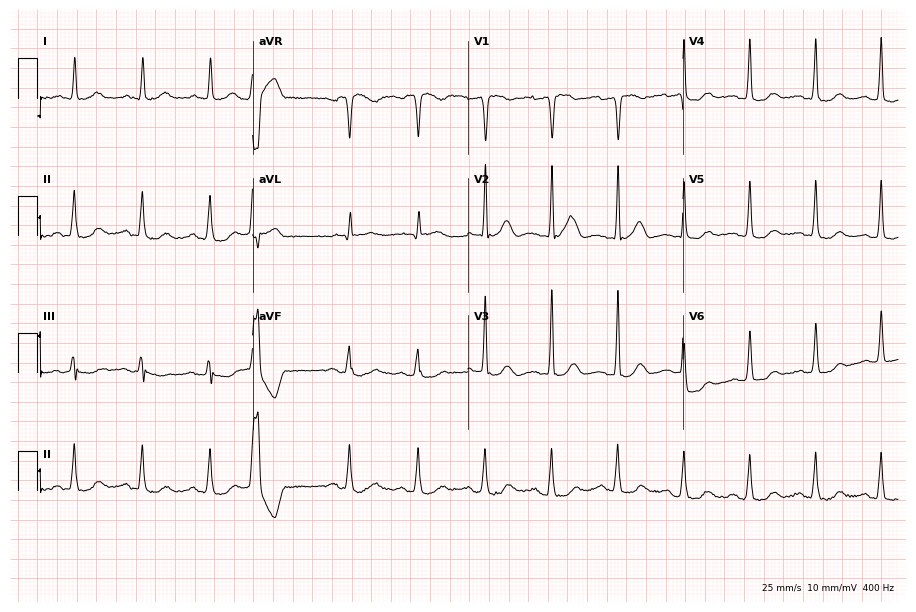
Resting 12-lead electrocardiogram (8.8-second recording at 400 Hz). Patient: a 71-year-old female. None of these six findings is recorded: first-degree AV block, right bundle branch block (RBBB), left bundle branch block (LBBB), sinus bradycardia, atrial fibrillation (AF), sinus tachycardia.